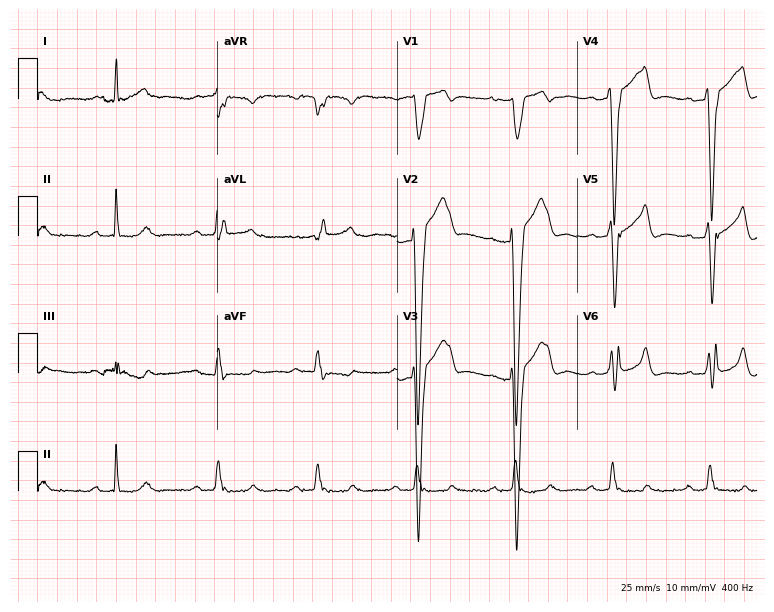
Resting 12-lead electrocardiogram. Patient: a 75-year-old male. None of these six findings is recorded: first-degree AV block, right bundle branch block, left bundle branch block, sinus bradycardia, atrial fibrillation, sinus tachycardia.